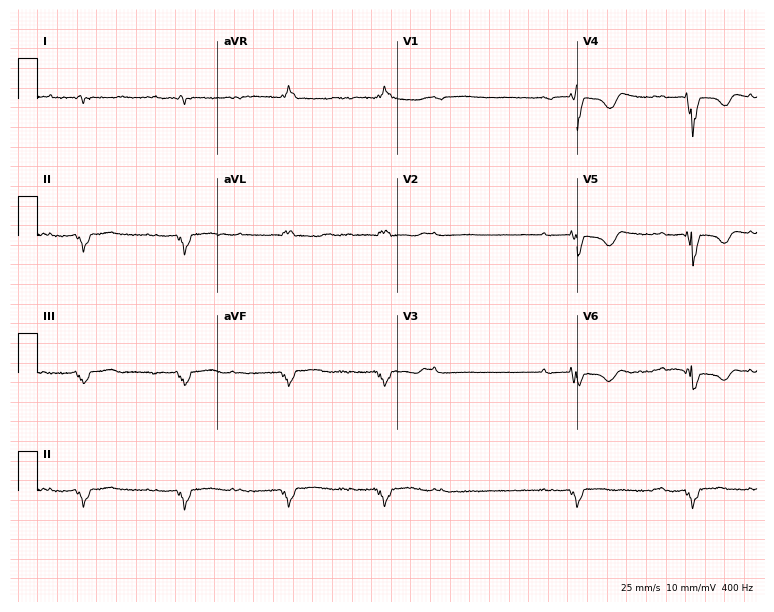
12-lead ECG from a man, 72 years old. Screened for six findings — first-degree AV block, right bundle branch block, left bundle branch block, sinus bradycardia, atrial fibrillation, sinus tachycardia — none is recorded.